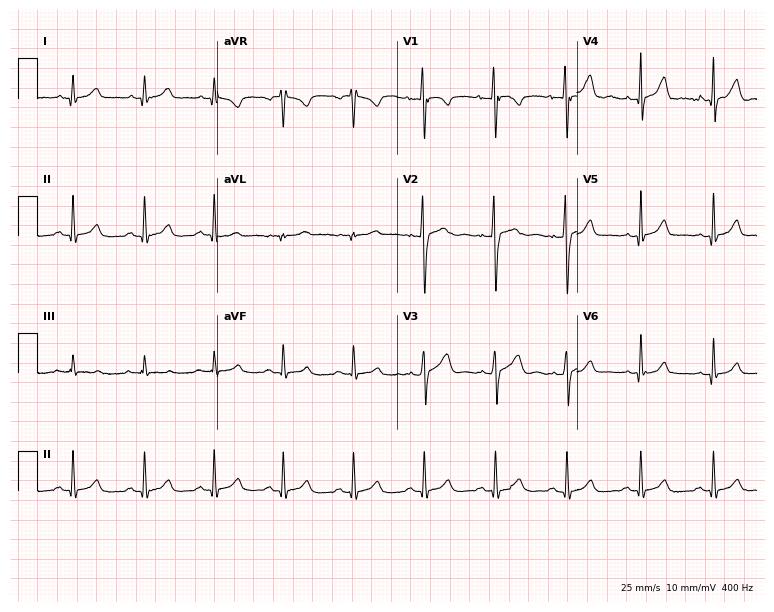
Electrocardiogram, a 32-year-old male. Of the six screened findings (first-degree AV block, right bundle branch block, left bundle branch block, sinus bradycardia, atrial fibrillation, sinus tachycardia), none is recorded.